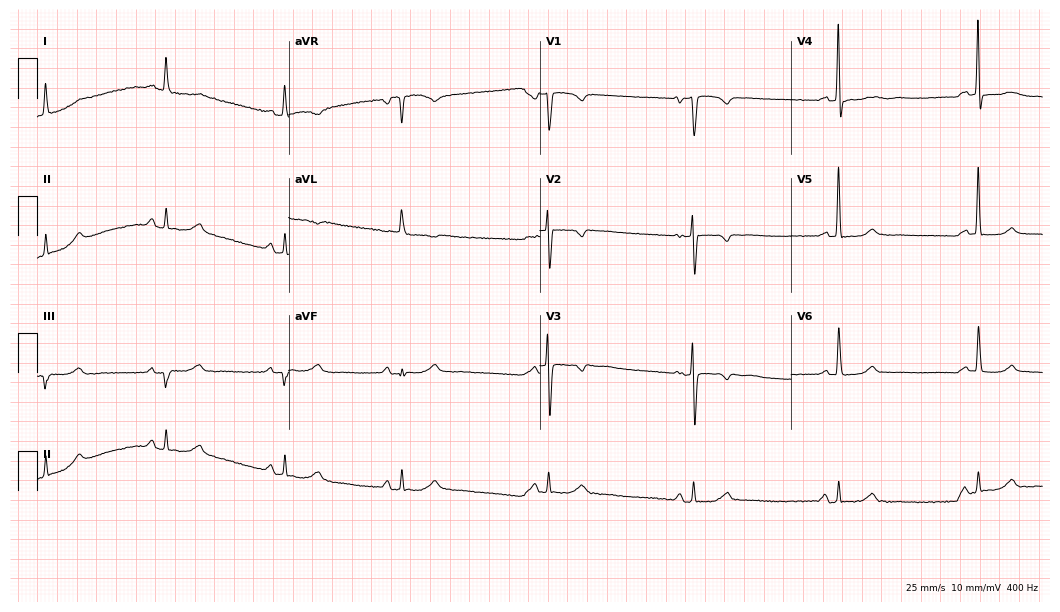
Electrocardiogram, a 78-year-old woman. Interpretation includes sinus bradycardia (a sinus rate of 50 beats per minute or less).